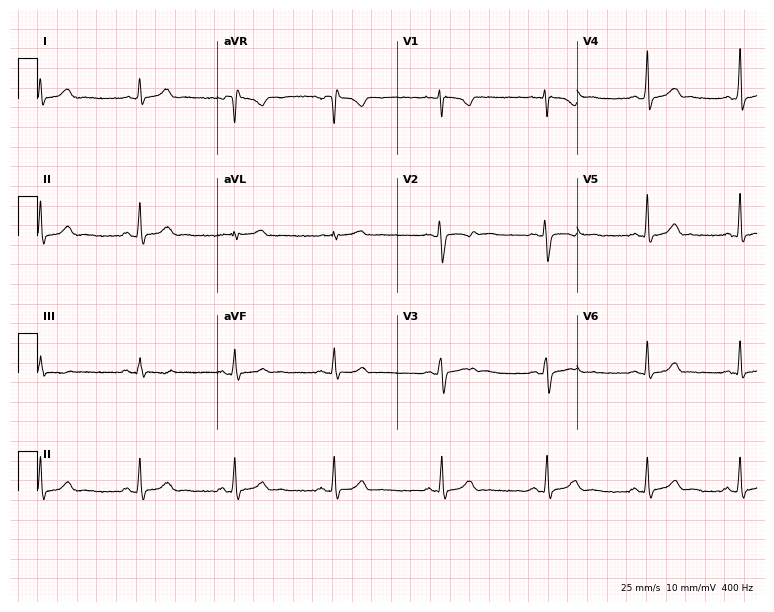
12-lead ECG from a 25-year-old female patient (7.3-second recording at 400 Hz). No first-degree AV block, right bundle branch block, left bundle branch block, sinus bradycardia, atrial fibrillation or sinus tachycardia recorded for this tracing.